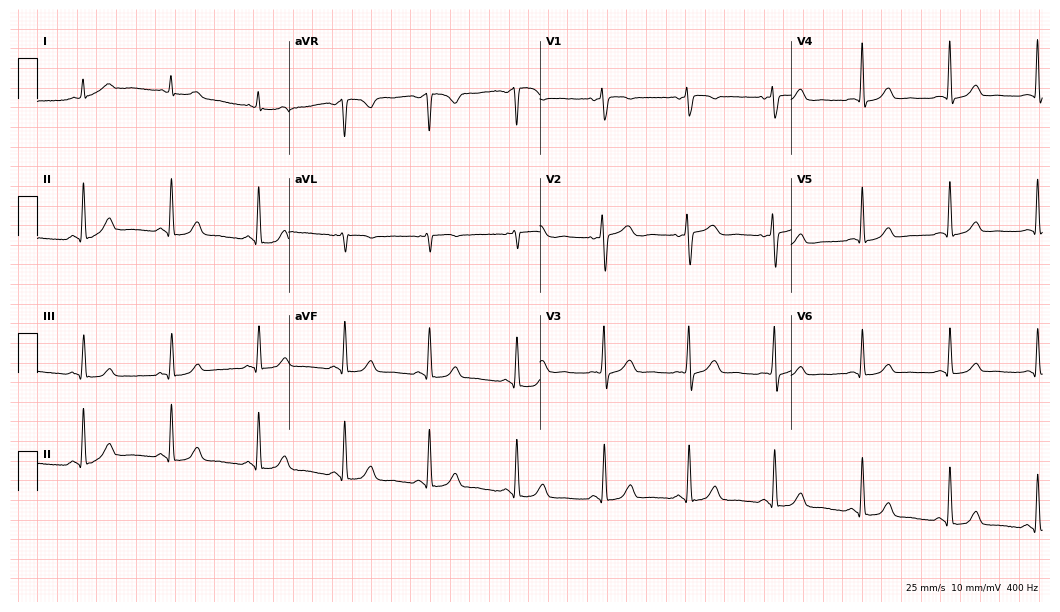
Electrocardiogram (10.2-second recording at 400 Hz), a woman, 45 years old. Overall reading on record: normal ECG.